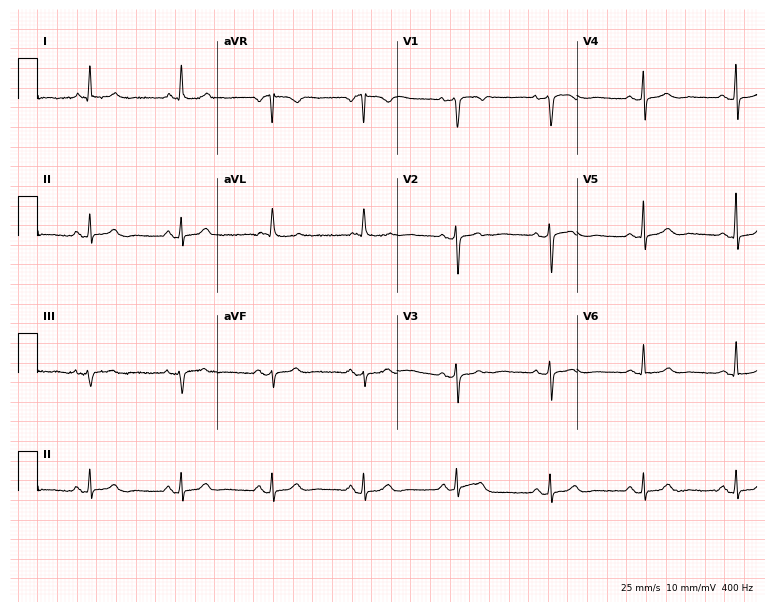
Electrocardiogram (7.3-second recording at 400 Hz), an 85-year-old female. Of the six screened findings (first-degree AV block, right bundle branch block (RBBB), left bundle branch block (LBBB), sinus bradycardia, atrial fibrillation (AF), sinus tachycardia), none is recorded. Only these six findings were labelled.